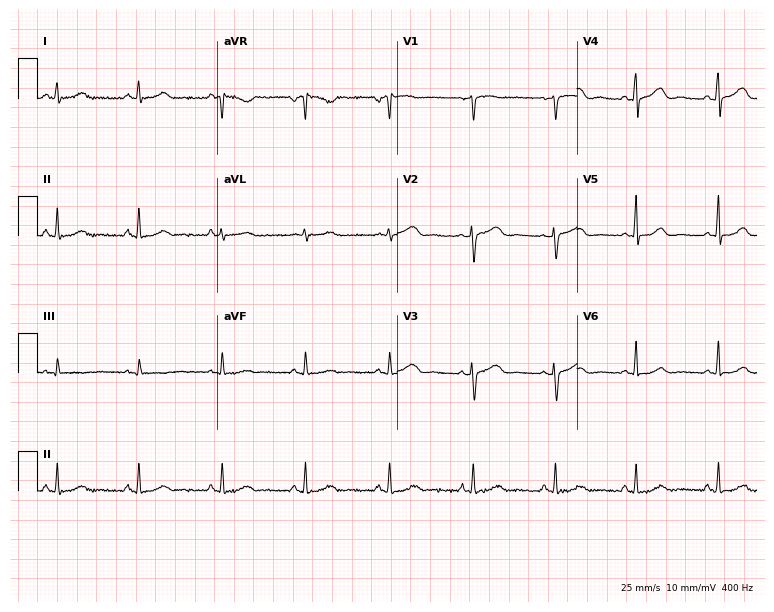
ECG — a female patient, 48 years old. Labelled as a normal ECG.